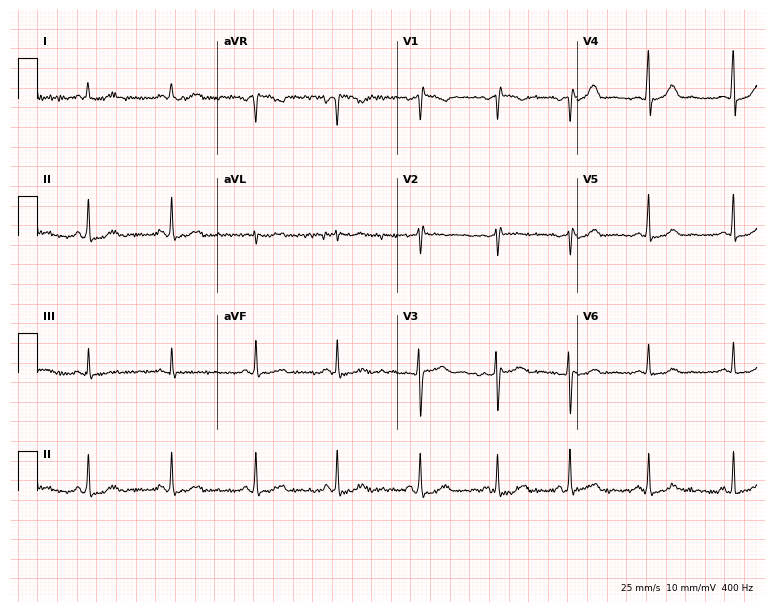
12-lead ECG from a female, 19 years old. Recorded interpretation: within normal limits.